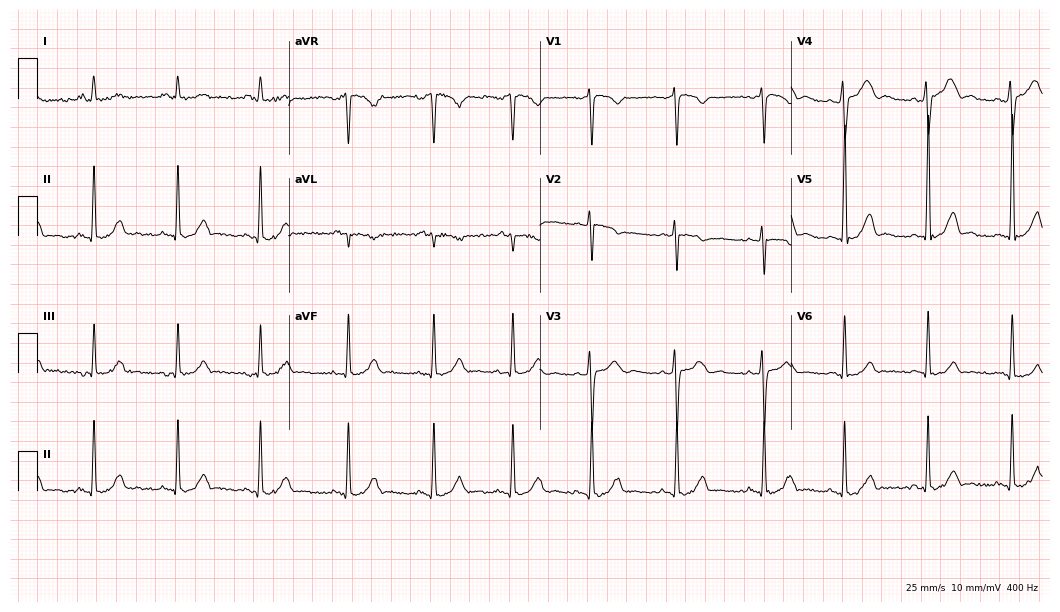
ECG — an 18-year-old female patient. Screened for six findings — first-degree AV block, right bundle branch block (RBBB), left bundle branch block (LBBB), sinus bradycardia, atrial fibrillation (AF), sinus tachycardia — none is recorded.